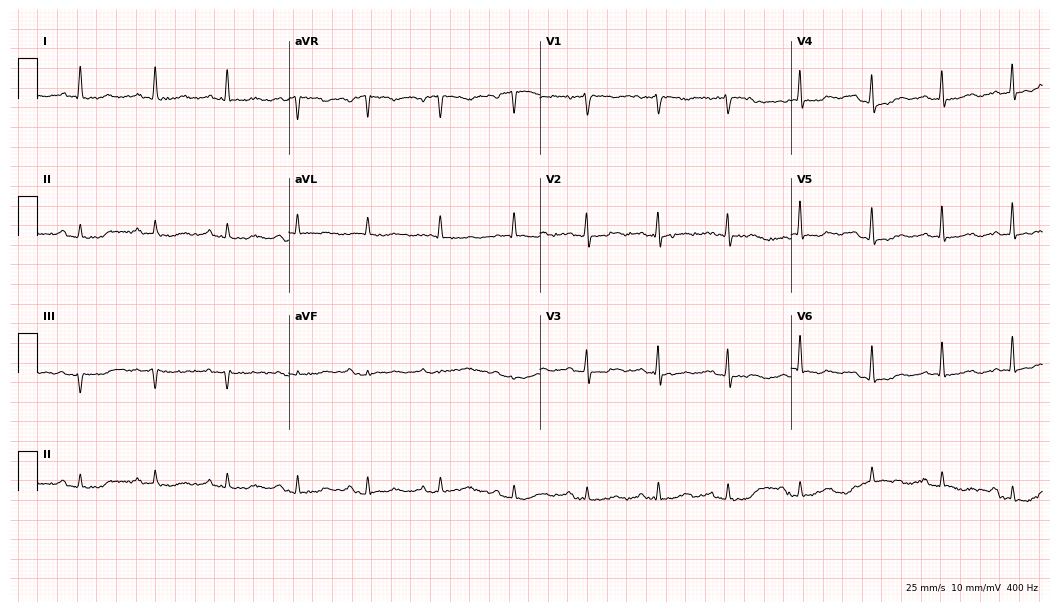
12-lead ECG from a male, 76 years old (10.2-second recording at 400 Hz). No first-degree AV block, right bundle branch block (RBBB), left bundle branch block (LBBB), sinus bradycardia, atrial fibrillation (AF) or sinus tachycardia recorded for this tracing. Findings outside these six are not listed.